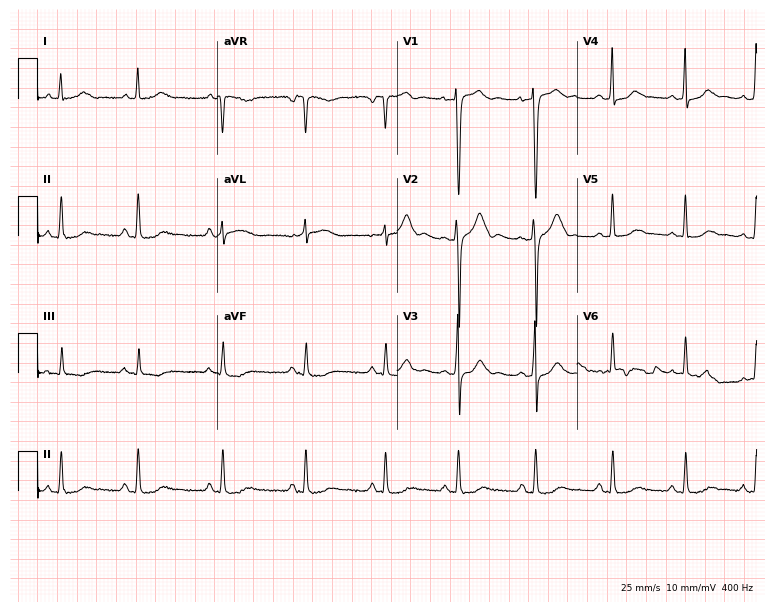
12-lead ECG from a female patient, 48 years old. Screened for six findings — first-degree AV block, right bundle branch block, left bundle branch block, sinus bradycardia, atrial fibrillation, sinus tachycardia — none is recorded.